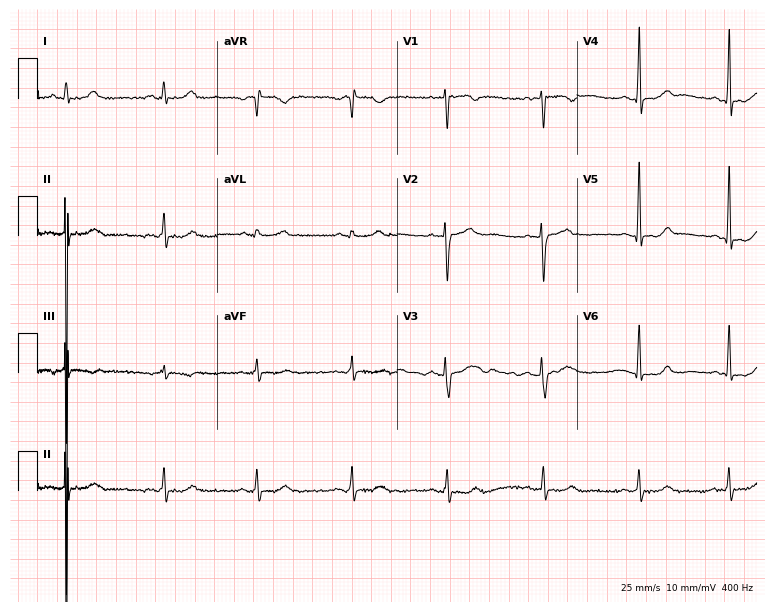
Resting 12-lead electrocardiogram. Patient: a female, 40 years old. None of these six findings is recorded: first-degree AV block, right bundle branch block, left bundle branch block, sinus bradycardia, atrial fibrillation, sinus tachycardia.